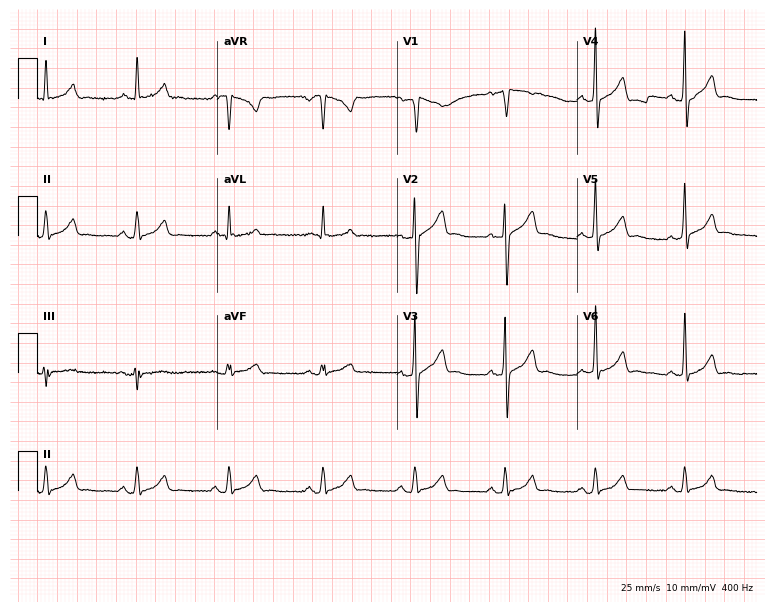
Standard 12-lead ECG recorded from a male, 43 years old (7.3-second recording at 400 Hz). Read as a normal ECG.